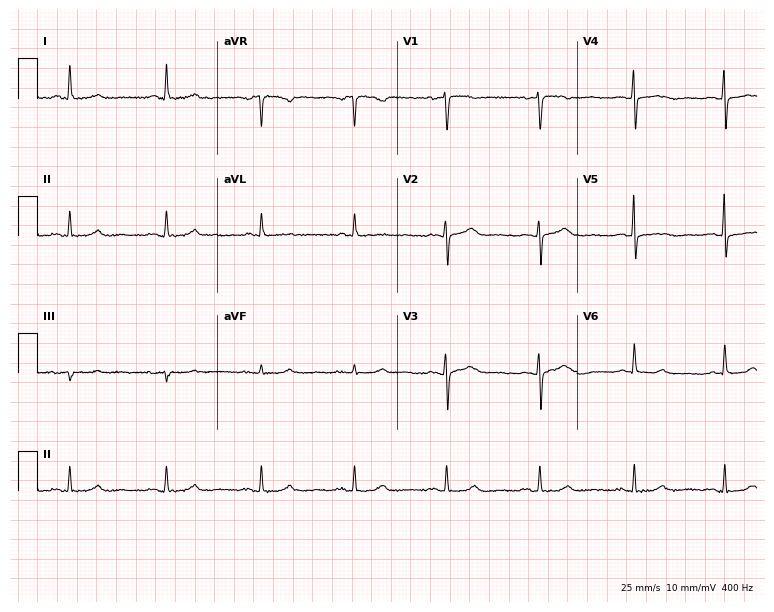
12-lead ECG (7.3-second recording at 400 Hz) from a woman, 59 years old. Screened for six findings — first-degree AV block, right bundle branch block, left bundle branch block, sinus bradycardia, atrial fibrillation, sinus tachycardia — none is recorded. Findings outside these six are not listed.